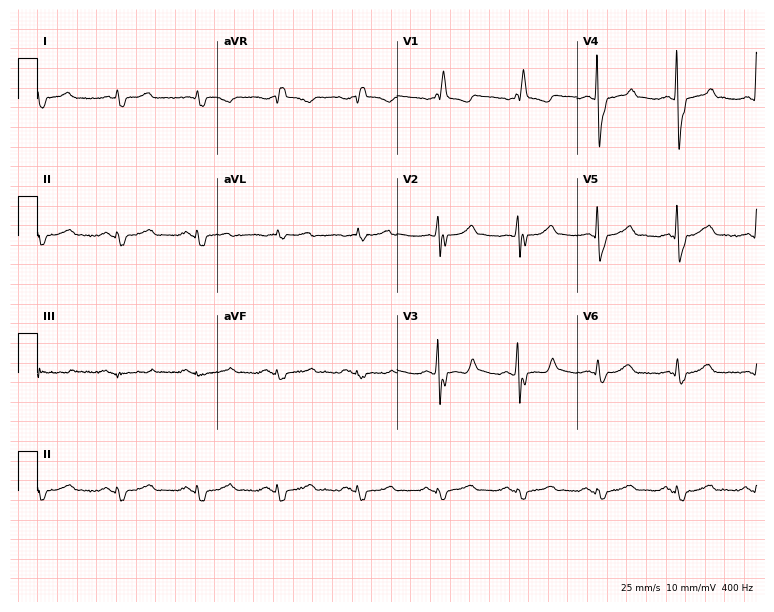
Electrocardiogram, a man, 79 years old. Of the six screened findings (first-degree AV block, right bundle branch block (RBBB), left bundle branch block (LBBB), sinus bradycardia, atrial fibrillation (AF), sinus tachycardia), none is recorded. Other findings, if any, are not listed.